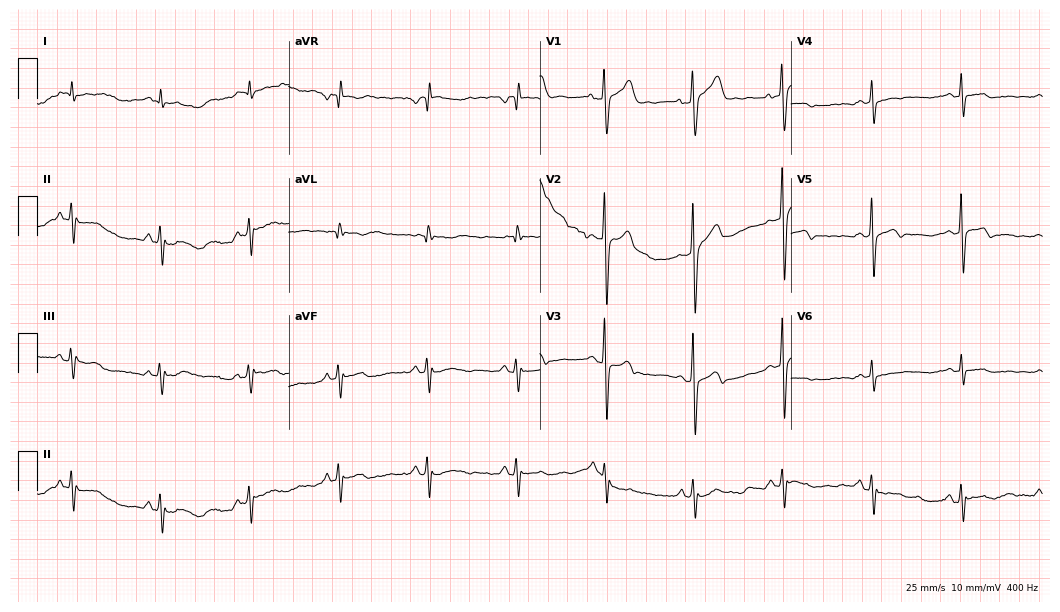
Resting 12-lead electrocardiogram. Patient: a male, 70 years old. None of these six findings is recorded: first-degree AV block, right bundle branch block (RBBB), left bundle branch block (LBBB), sinus bradycardia, atrial fibrillation (AF), sinus tachycardia.